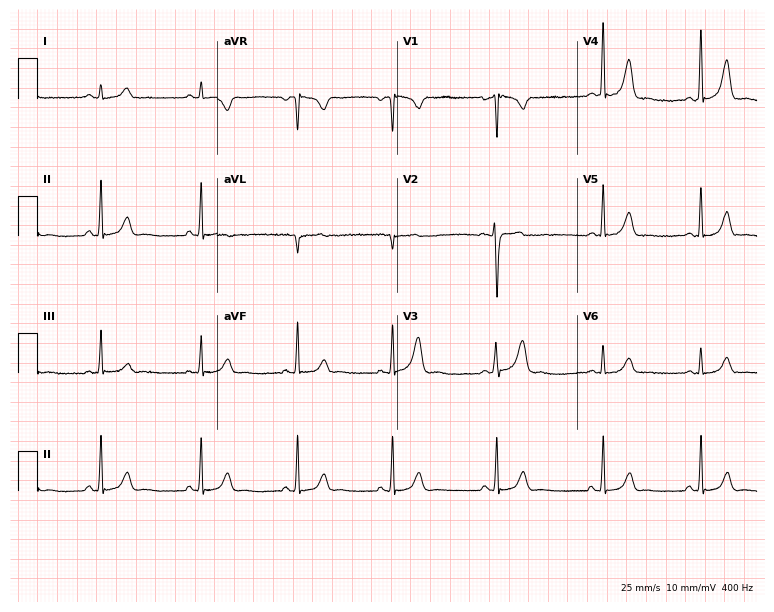
Standard 12-lead ECG recorded from a female patient, 19 years old. Read as a normal ECG.